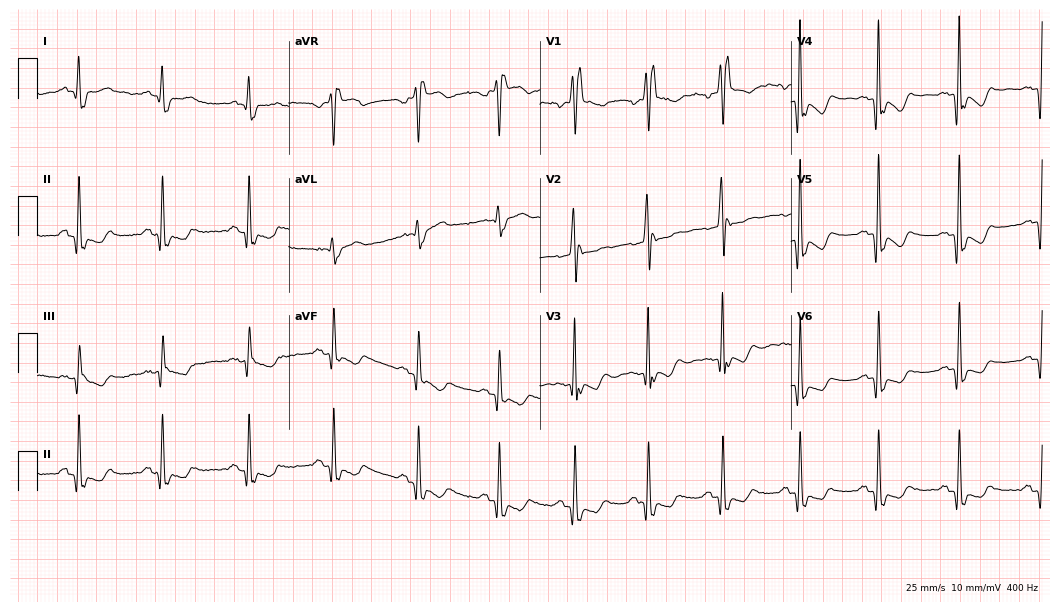
12-lead ECG from a 50-year-old man (10.2-second recording at 400 Hz). Shows right bundle branch block.